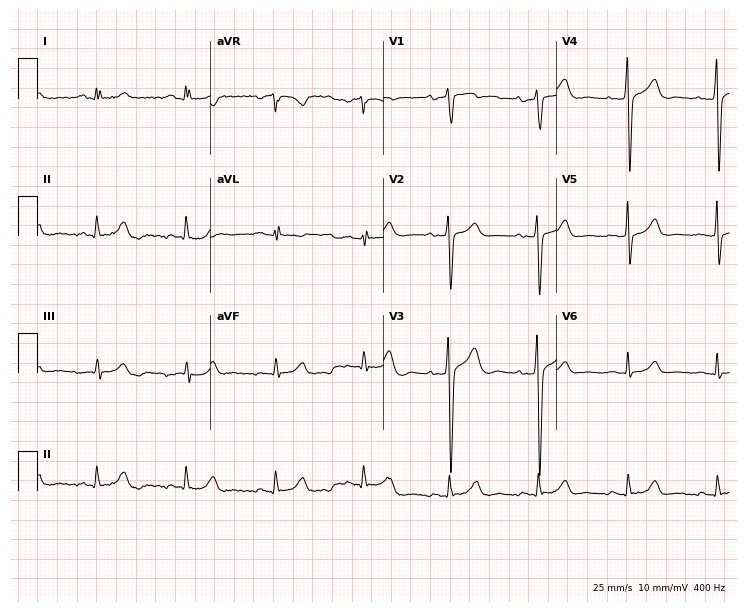
12-lead ECG (7.1-second recording at 400 Hz) from a woman, 45 years old. Screened for six findings — first-degree AV block, right bundle branch block, left bundle branch block, sinus bradycardia, atrial fibrillation, sinus tachycardia — none is recorded.